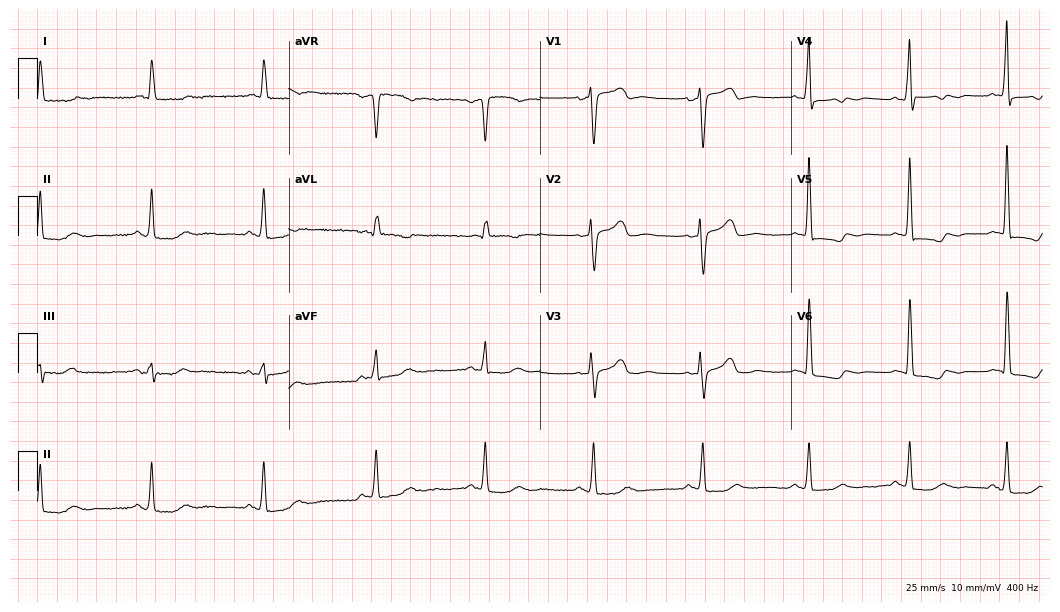
Resting 12-lead electrocardiogram (10.2-second recording at 400 Hz). Patient: a woman, 72 years old. None of these six findings is recorded: first-degree AV block, right bundle branch block, left bundle branch block, sinus bradycardia, atrial fibrillation, sinus tachycardia.